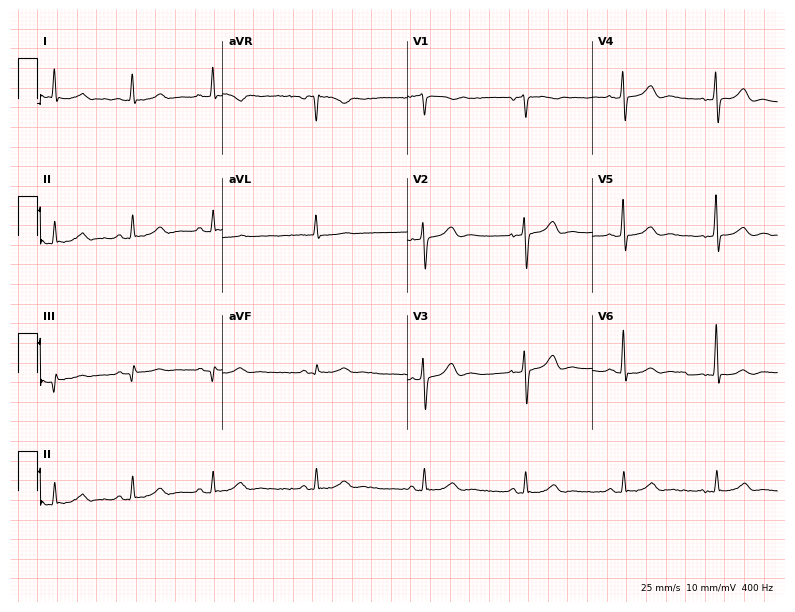
12-lead ECG from a male, 75 years old (7.5-second recording at 400 Hz). No first-degree AV block, right bundle branch block, left bundle branch block, sinus bradycardia, atrial fibrillation or sinus tachycardia recorded for this tracing. Only these six findings were labelled.